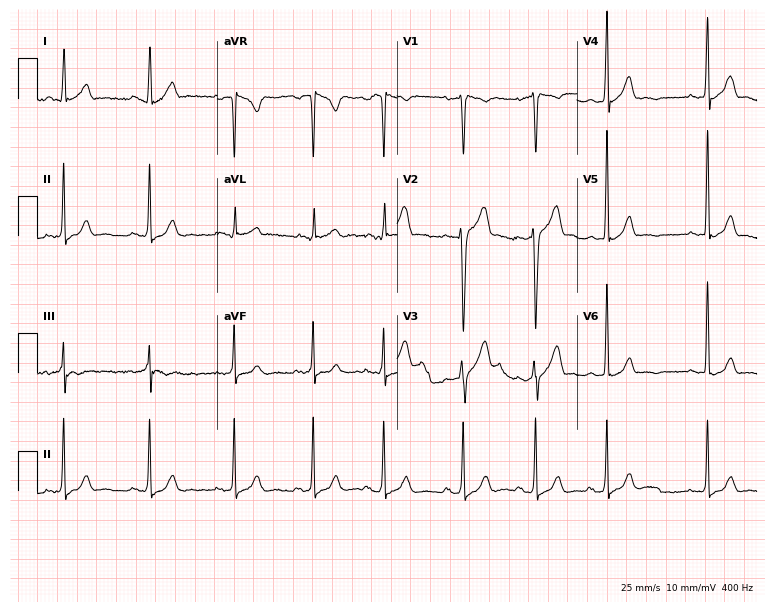
12-lead ECG from a 38-year-old man. No first-degree AV block, right bundle branch block, left bundle branch block, sinus bradycardia, atrial fibrillation or sinus tachycardia recorded for this tracing. Other findings, if any, are not listed.